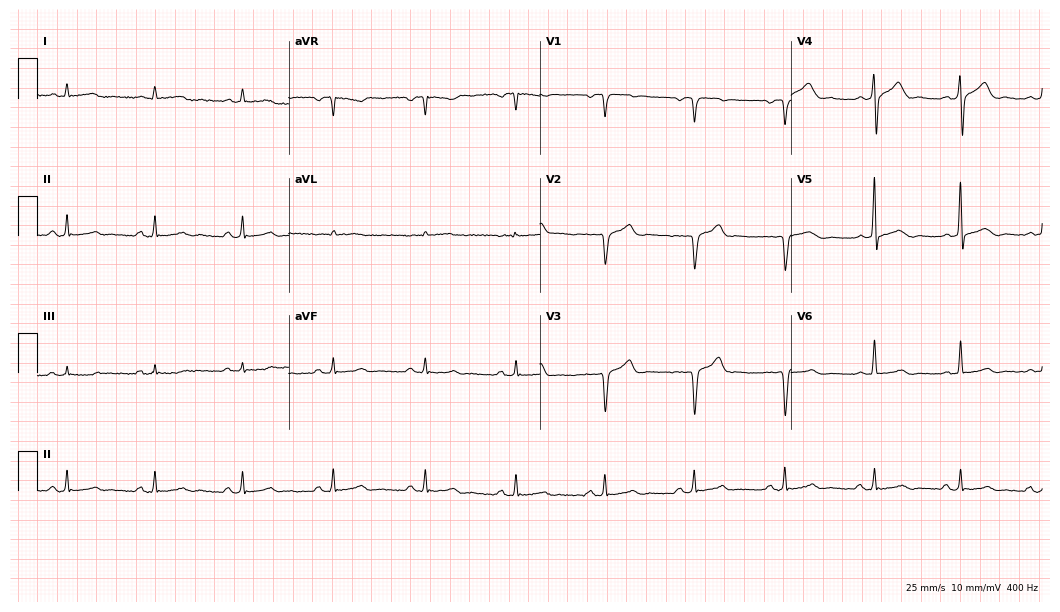
Resting 12-lead electrocardiogram. Patient: a 37-year-old male. None of these six findings is recorded: first-degree AV block, right bundle branch block, left bundle branch block, sinus bradycardia, atrial fibrillation, sinus tachycardia. Other findings, if any, are not listed.